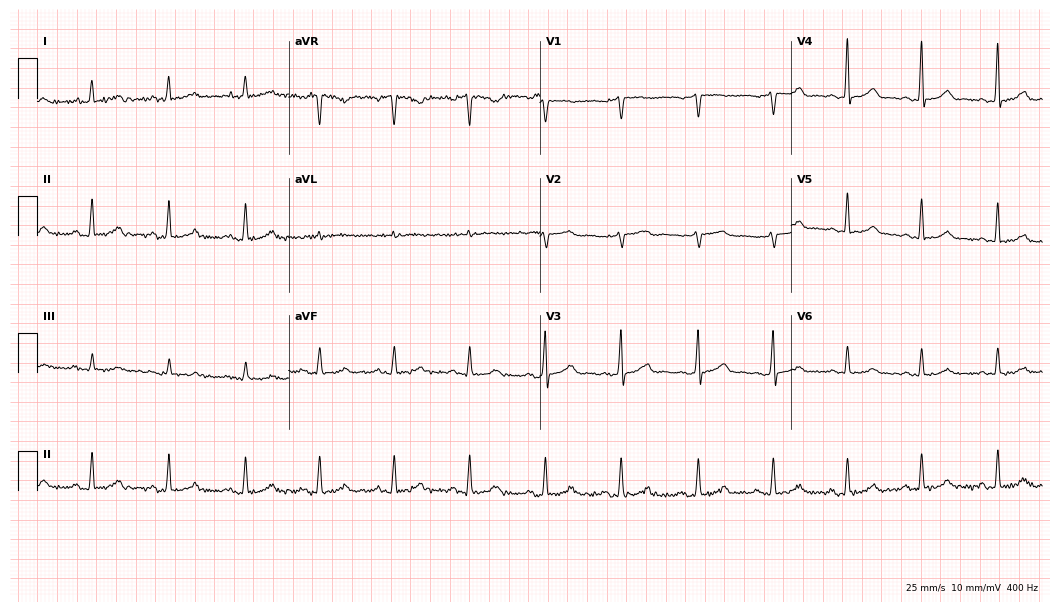
12-lead ECG (10.2-second recording at 400 Hz) from a 48-year-old female. Screened for six findings — first-degree AV block, right bundle branch block, left bundle branch block, sinus bradycardia, atrial fibrillation, sinus tachycardia — none is recorded. Other findings, if any, are not listed.